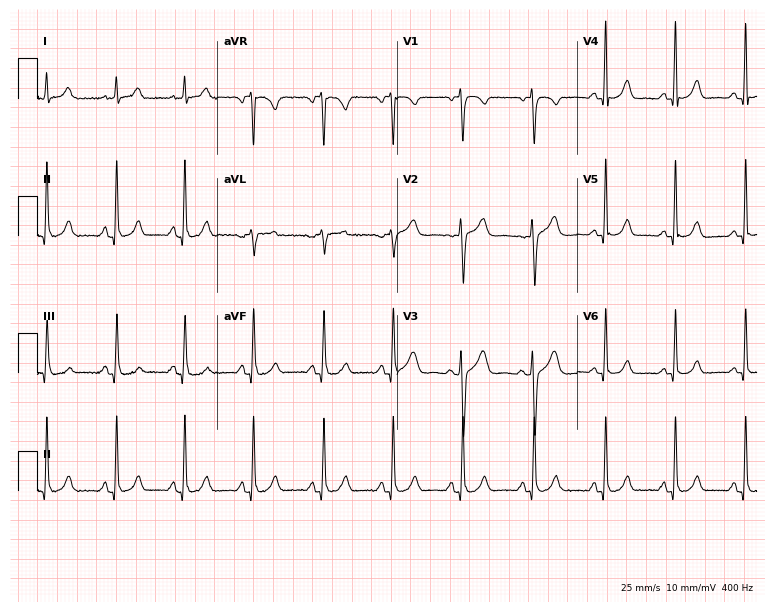
ECG (7.3-second recording at 400 Hz) — a woman, 51 years old. Labelled as a normal ECG.